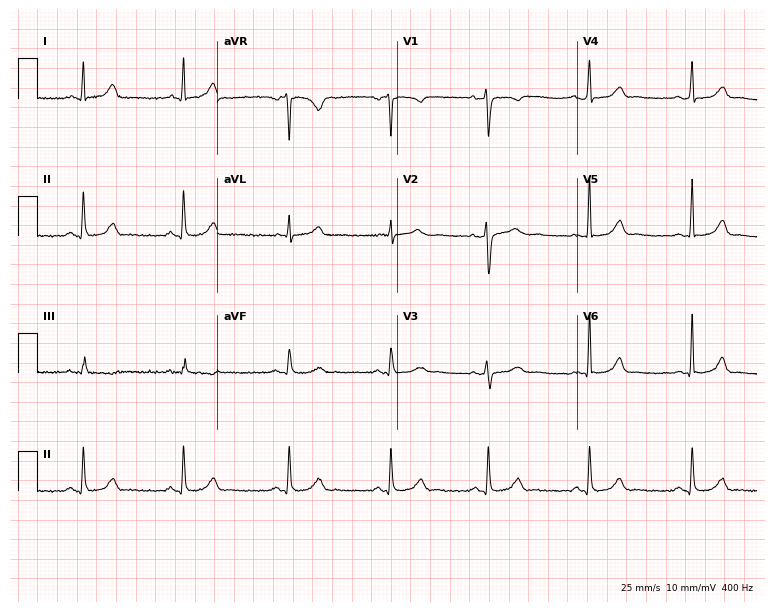
12-lead ECG from a 37-year-old female patient. Recorded interpretation: within normal limits.